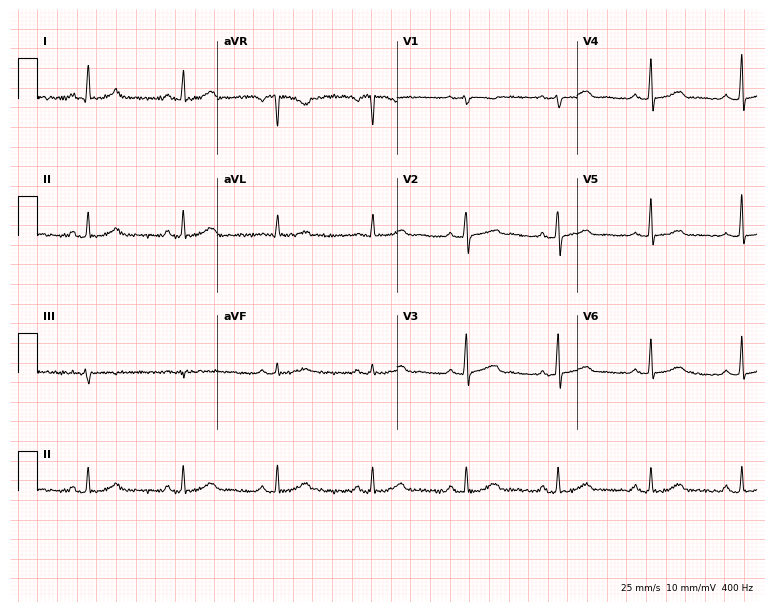
12-lead ECG from a female patient, 53 years old. Labelled as a normal ECG.